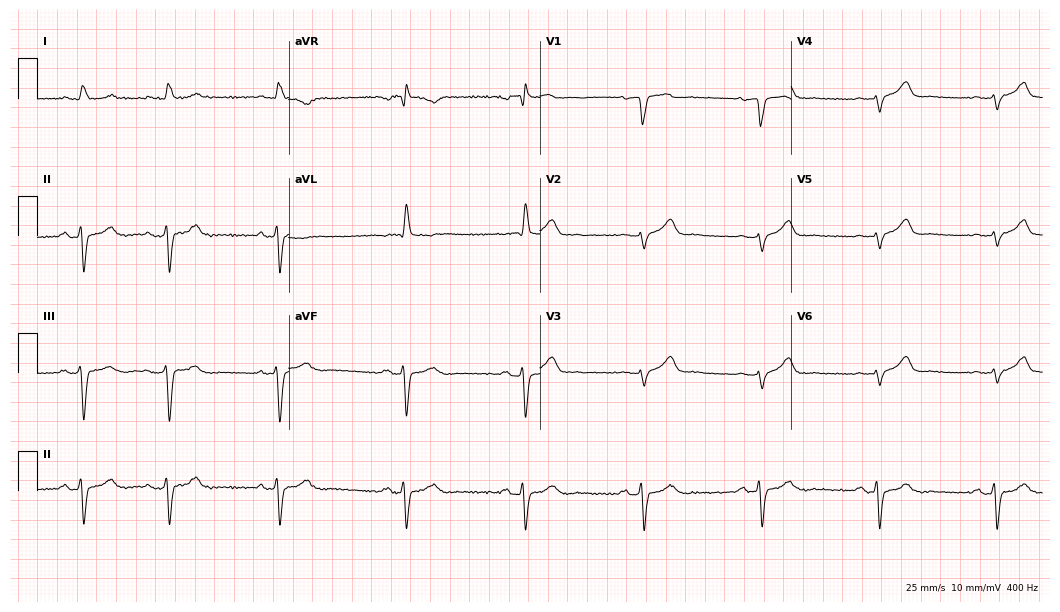
12-lead ECG from a male, 85 years old (10.2-second recording at 400 Hz). No first-degree AV block, right bundle branch block, left bundle branch block, sinus bradycardia, atrial fibrillation or sinus tachycardia recorded for this tracing.